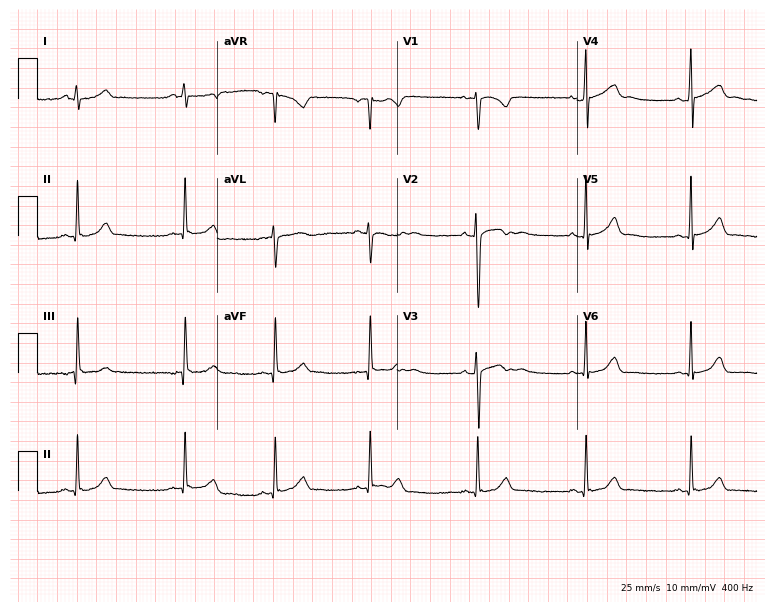
Standard 12-lead ECG recorded from a 19-year-old female (7.3-second recording at 400 Hz). Read as a normal ECG.